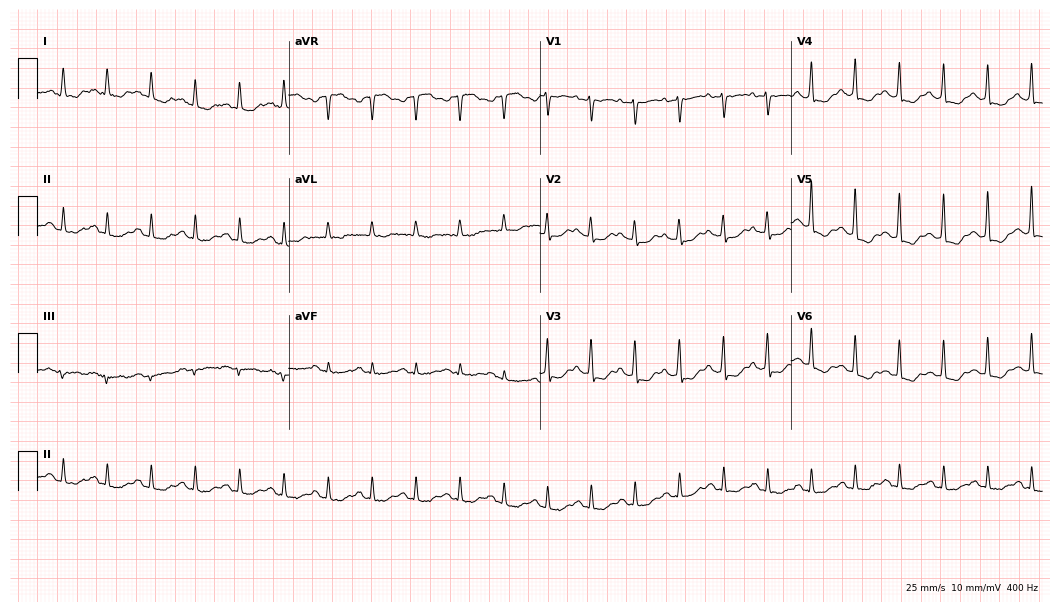
Standard 12-lead ECG recorded from a female patient, 37 years old (10.2-second recording at 400 Hz). None of these six findings is recorded: first-degree AV block, right bundle branch block, left bundle branch block, sinus bradycardia, atrial fibrillation, sinus tachycardia. Findings outside these six are not listed.